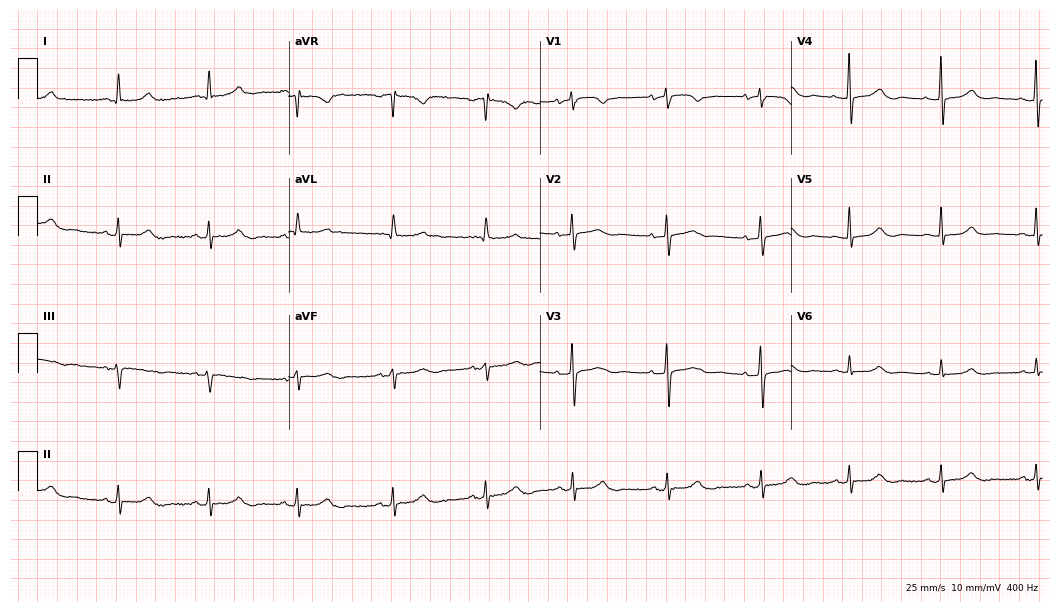
ECG — a female patient, 83 years old. Screened for six findings — first-degree AV block, right bundle branch block, left bundle branch block, sinus bradycardia, atrial fibrillation, sinus tachycardia — none is recorded. Other findings, if any, are not listed.